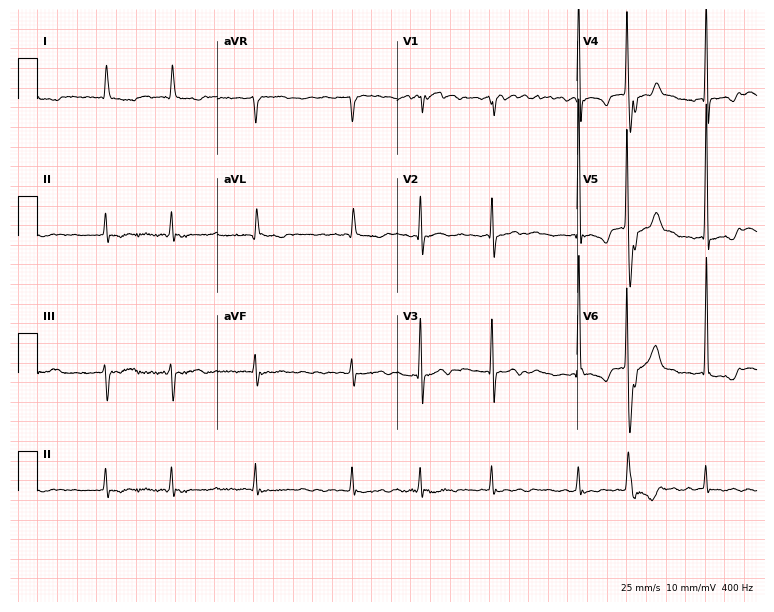
Standard 12-lead ECG recorded from a woman, 84 years old. The tracing shows atrial fibrillation.